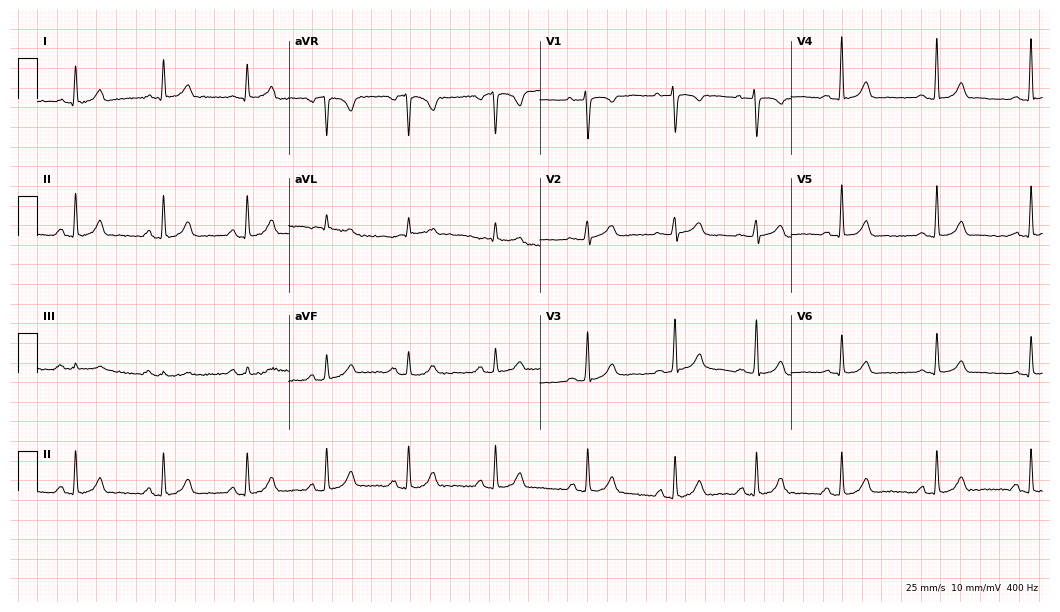
Standard 12-lead ECG recorded from a woman, 36 years old (10.2-second recording at 400 Hz). Read as a normal ECG.